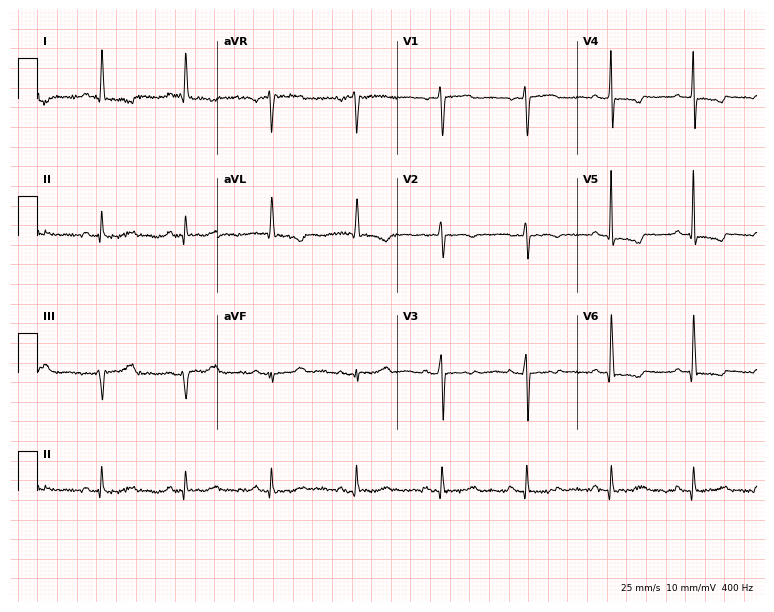
ECG (7.3-second recording at 400 Hz) — a 56-year-old woman. Screened for six findings — first-degree AV block, right bundle branch block, left bundle branch block, sinus bradycardia, atrial fibrillation, sinus tachycardia — none is recorded. Findings outside these six are not listed.